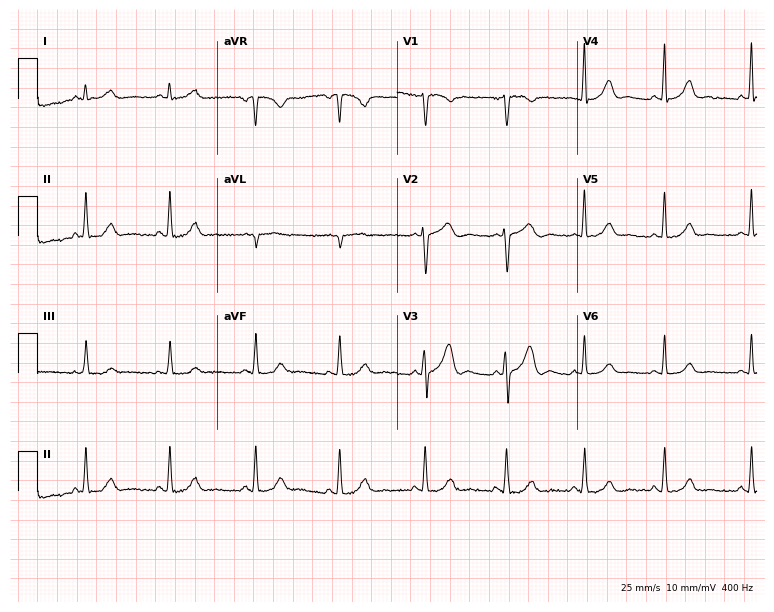
Electrocardiogram, a woman, 28 years old. Overall reading on record: normal ECG.